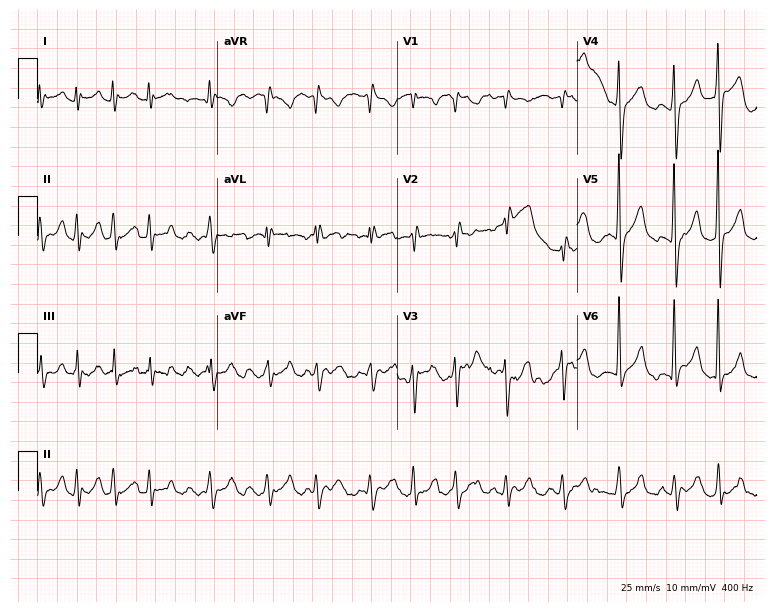
12-lead ECG from a male patient, 75 years old (7.3-second recording at 400 Hz). No first-degree AV block, right bundle branch block, left bundle branch block, sinus bradycardia, atrial fibrillation or sinus tachycardia recorded for this tracing.